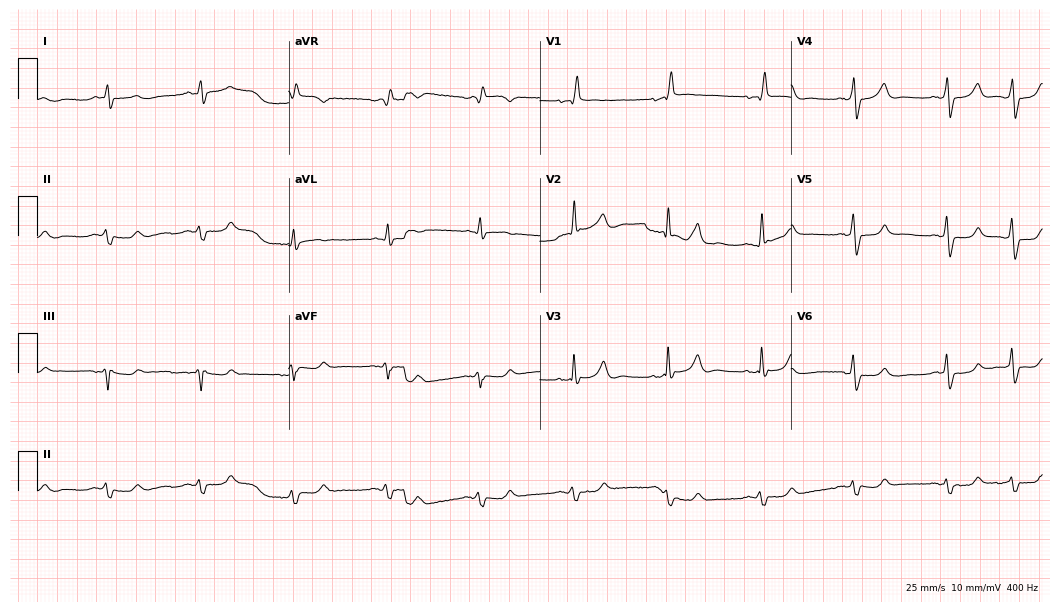
12-lead ECG from an 85-year-old man. Screened for six findings — first-degree AV block, right bundle branch block (RBBB), left bundle branch block (LBBB), sinus bradycardia, atrial fibrillation (AF), sinus tachycardia — none is recorded. Findings outside these six are not listed.